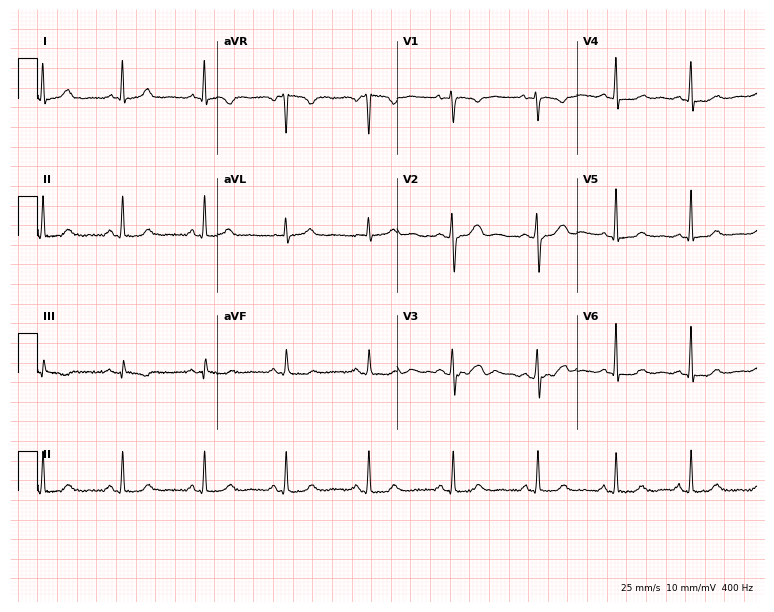
Resting 12-lead electrocardiogram (7.3-second recording at 400 Hz). Patient: a 34-year-old woman. None of these six findings is recorded: first-degree AV block, right bundle branch block (RBBB), left bundle branch block (LBBB), sinus bradycardia, atrial fibrillation (AF), sinus tachycardia. Findings outside these six are not listed.